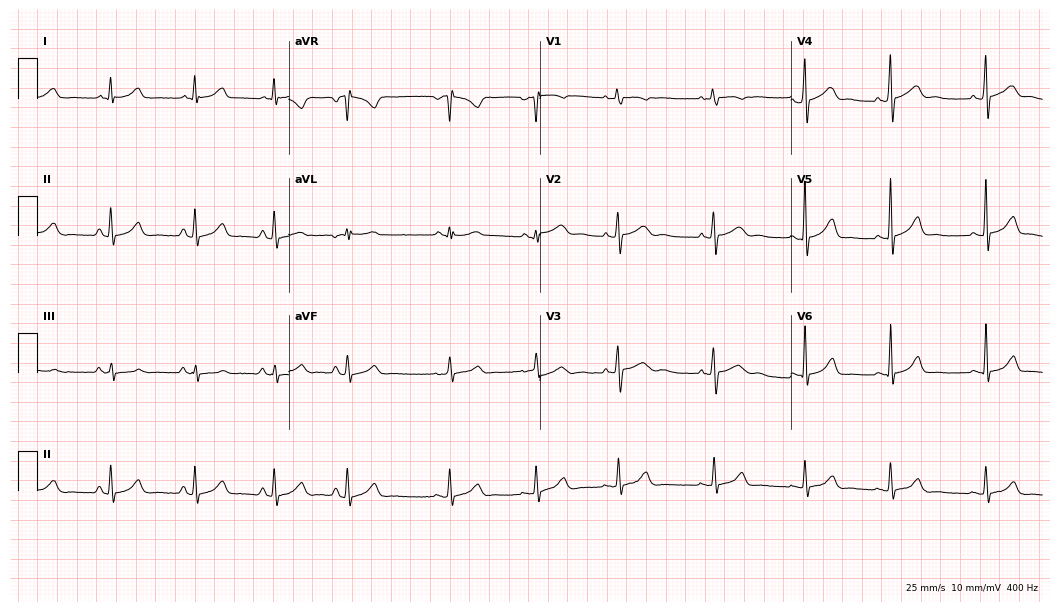
12-lead ECG (10.2-second recording at 400 Hz) from a female patient, 23 years old. Labelled as a normal ECG.